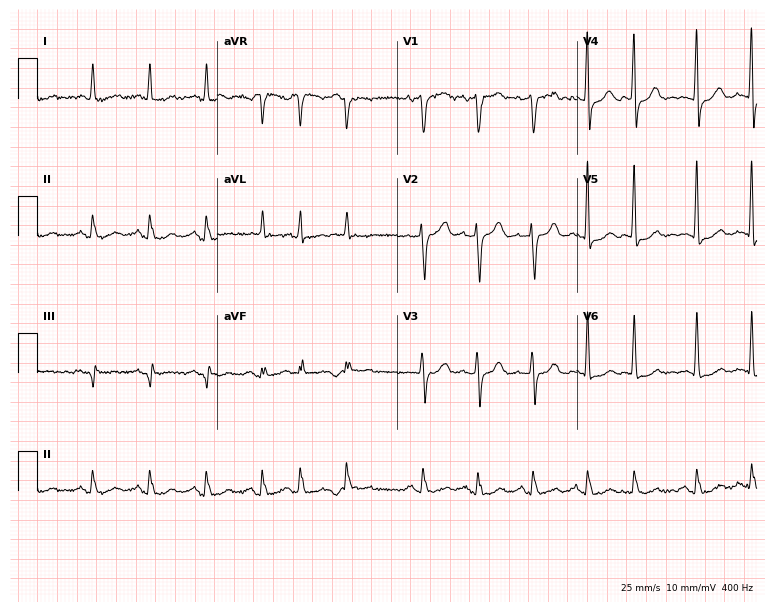
Electrocardiogram (7.3-second recording at 400 Hz), a 77-year-old male. Of the six screened findings (first-degree AV block, right bundle branch block, left bundle branch block, sinus bradycardia, atrial fibrillation, sinus tachycardia), none is recorded. Findings outside these six are not listed.